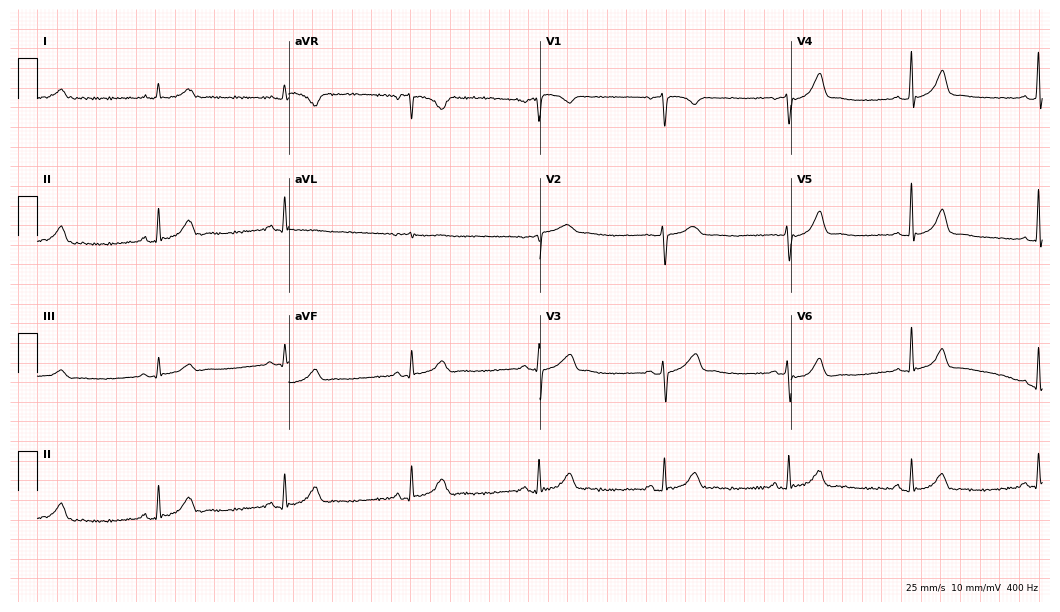
Standard 12-lead ECG recorded from a 56-year-old male (10.2-second recording at 400 Hz). The tracing shows sinus bradycardia (a sinus rate of 50 beats per minute or less).